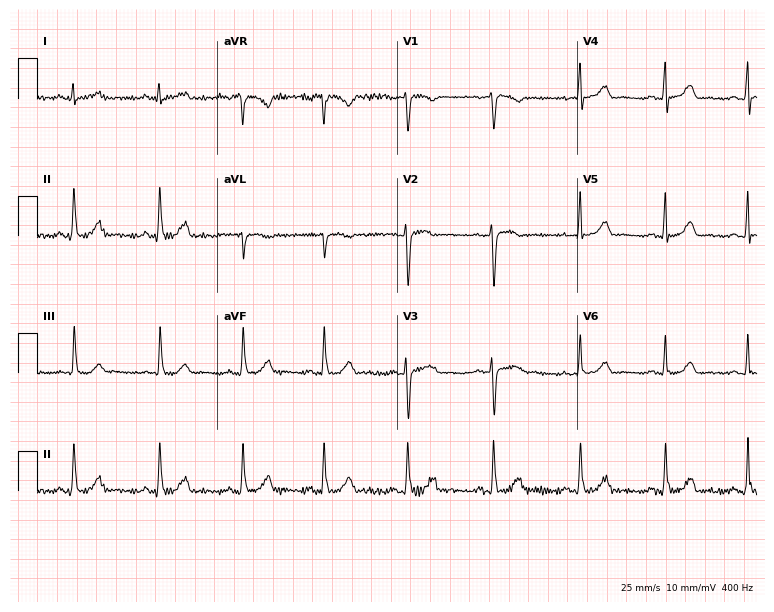
ECG — a female patient, 43 years old. Labelled as a normal ECG.